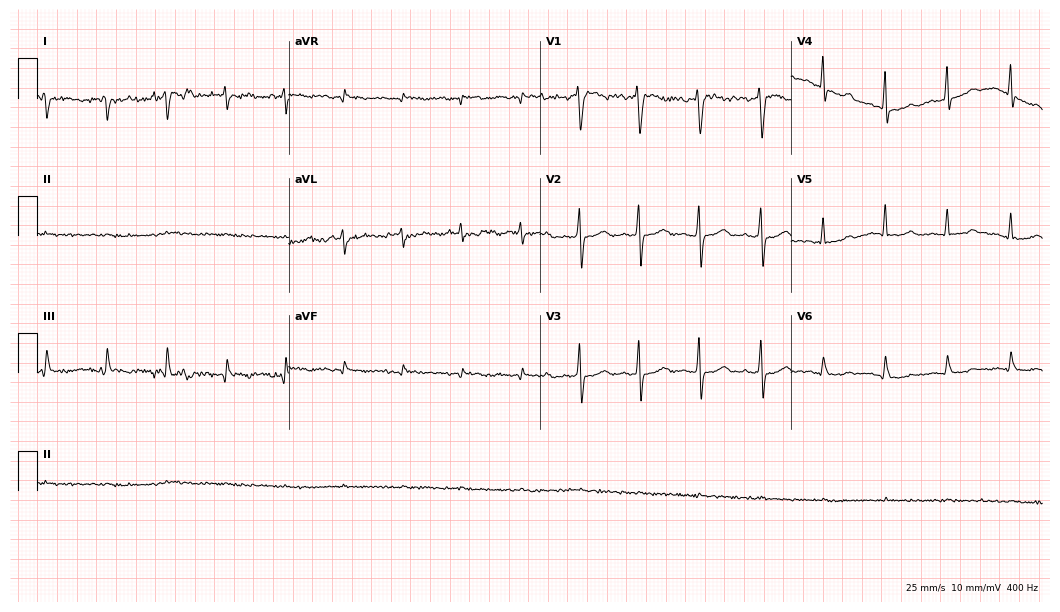
Resting 12-lead electrocardiogram (10.2-second recording at 400 Hz). Patient: a female, 34 years old. None of these six findings is recorded: first-degree AV block, right bundle branch block, left bundle branch block, sinus bradycardia, atrial fibrillation, sinus tachycardia. Findings outside these six are not listed.